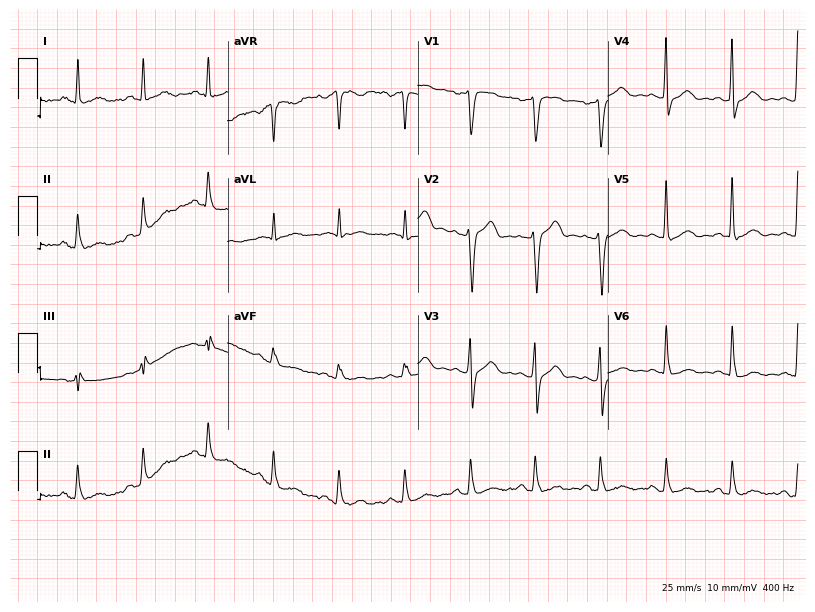
12-lead ECG from a 48-year-old male. Recorded interpretation: within normal limits.